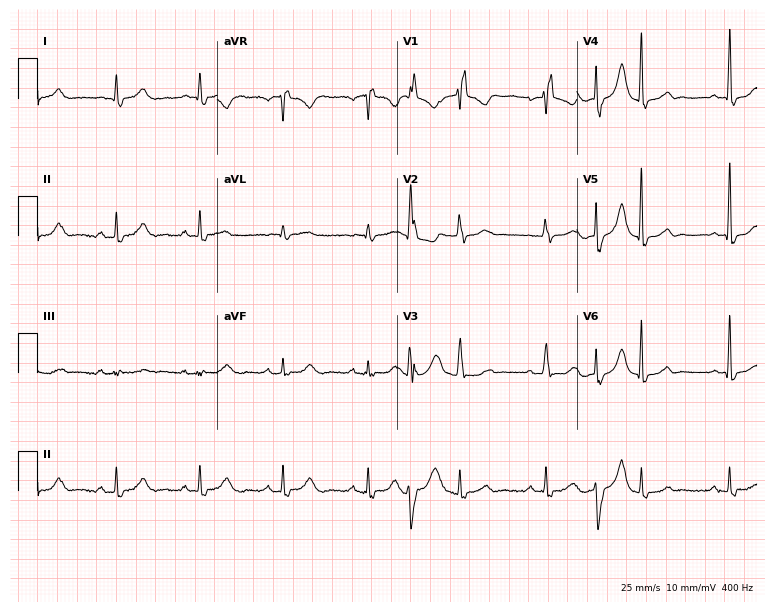
Electrocardiogram (7.3-second recording at 400 Hz), a 79-year-old male patient. Of the six screened findings (first-degree AV block, right bundle branch block (RBBB), left bundle branch block (LBBB), sinus bradycardia, atrial fibrillation (AF), sinus tachycardia), none is recorded. Findings outside these six are not listed.